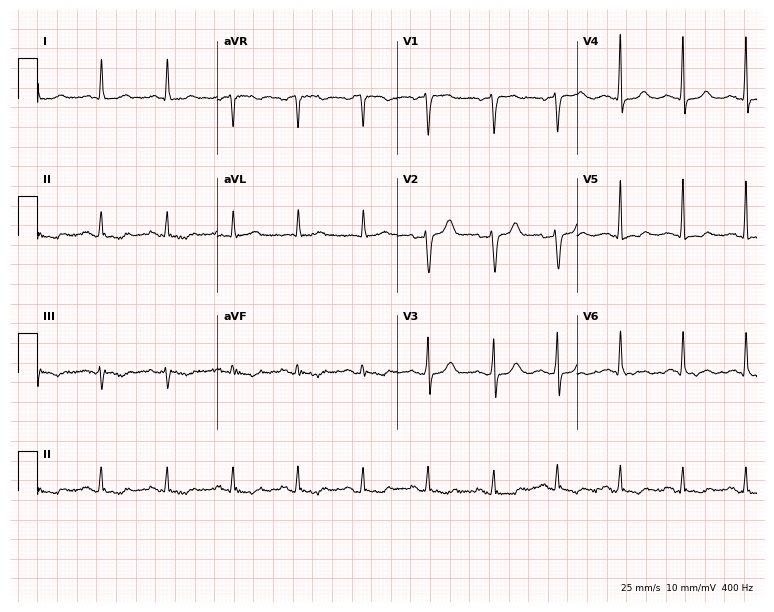
Resting 12-lead electrocardiogram. Patient: a female, 68 years old. Read as a normal ECG.